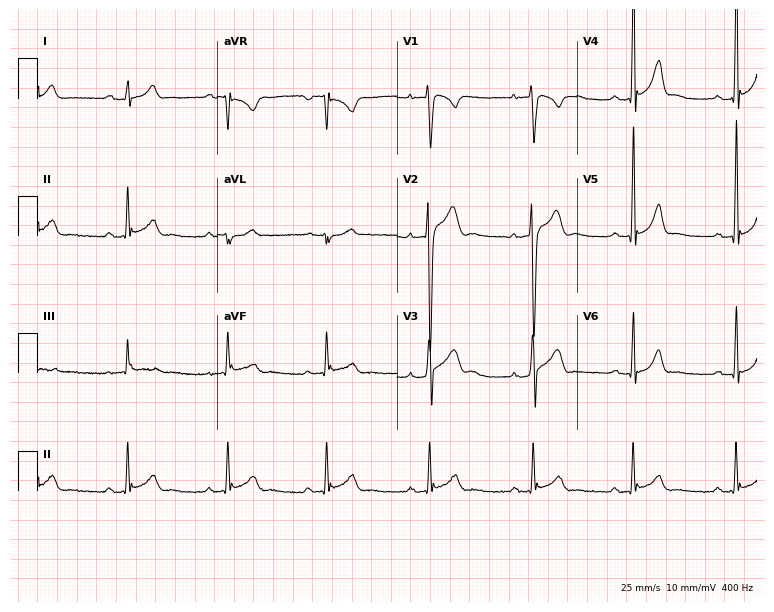
Electrocardiogram (7.3-second recording at 400 Hz), a 24-year-old male. Of the six screened findings (first-degree AV block, right bundle branch block, left bundle branch block, sinus bradycardia, atrial fibrillation, sinus tachycardia), none is recorded.